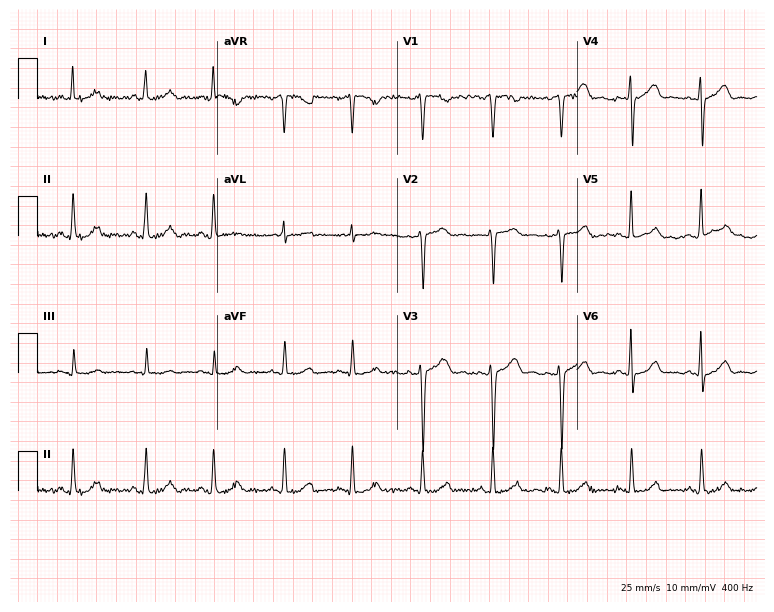
12-lead ECG from a female, 36 years old. Recorded interpretation: within normal limits.